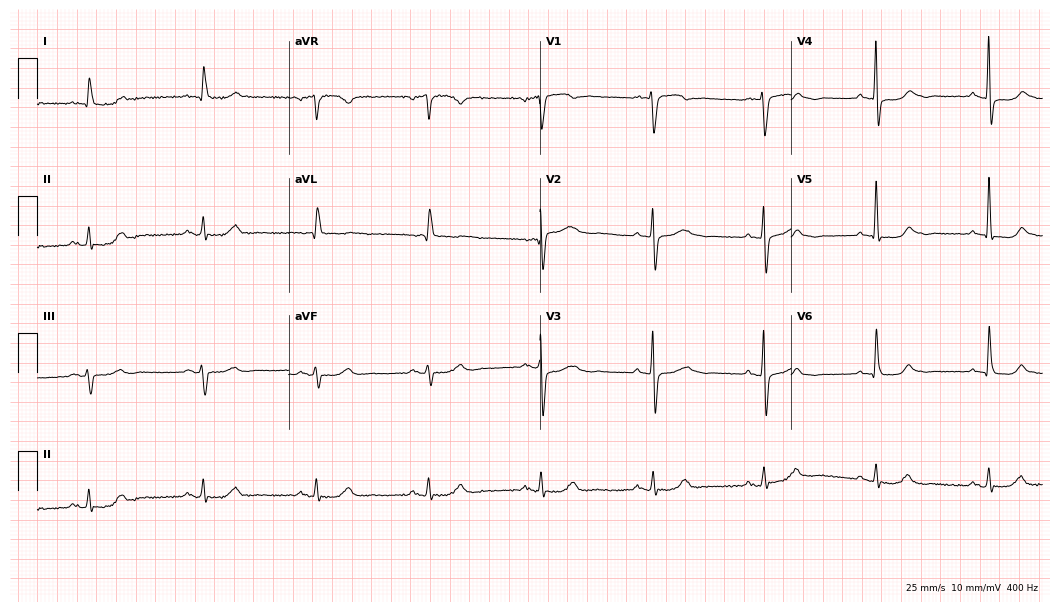
Standard 12-lead ECG recorded from a 57-year-old male. Read as a normal ECG.